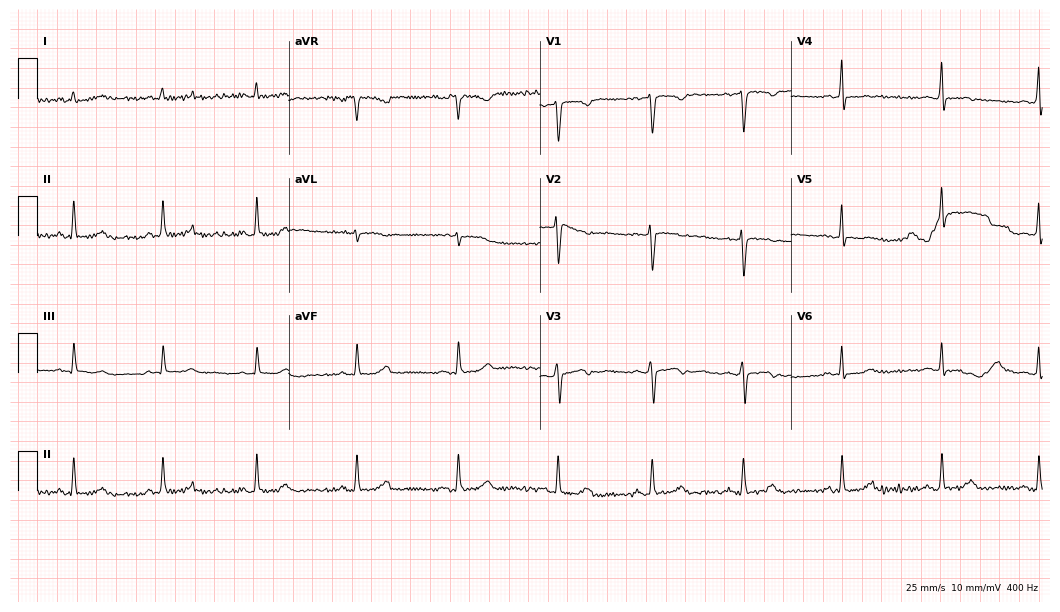
12-lead ECG (10.2-second recording at 400 Hz) from a female, 25 years old. Screened for six findings — first-degree AV block, right bundle branch block, left bundle branch block, sinus bradycardia, atrial fibrillation, sinus tachycardia — none is recorded.